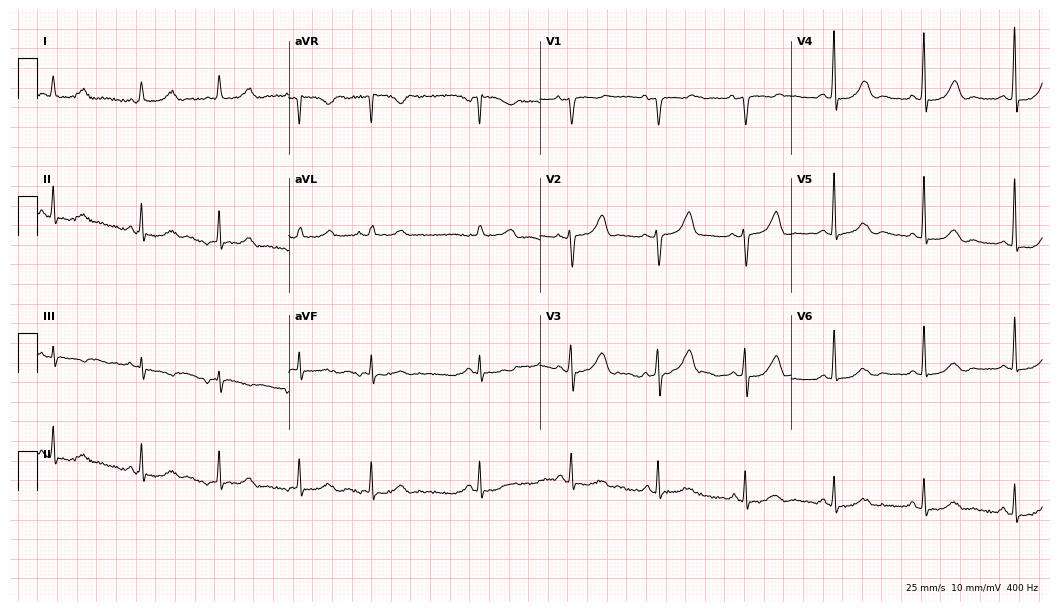
Standard 12-lead ECG recorded from a female, 63 years old (10.2-second recording at 400 Hz). Read as a normal ECG.